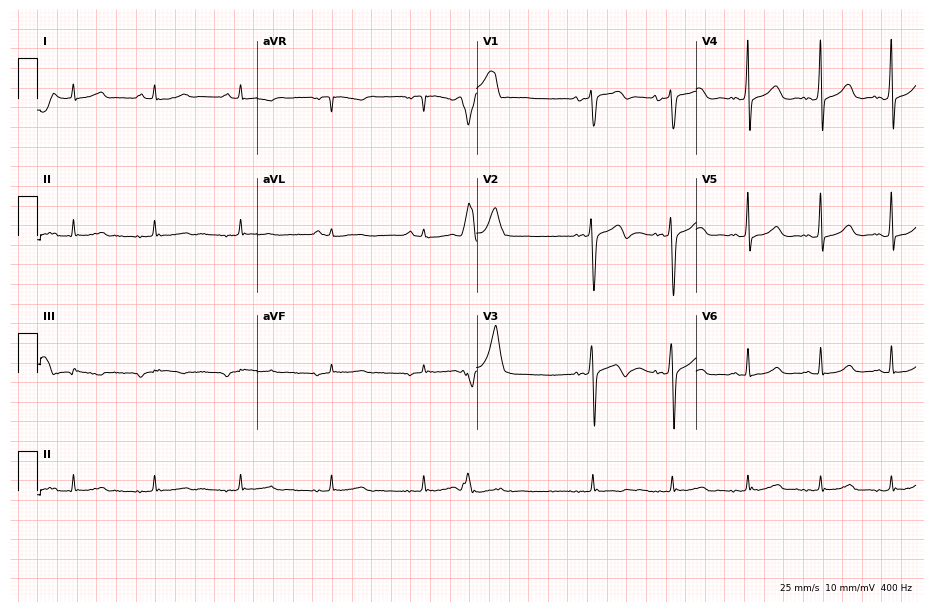
ECG (9-second recording at 400 Hz) — a 49-year-old male. Screened for six findings — first-degree AV block, right bundle branch block, left bundle branch block, sinus bradycardia, atrial fibrillation, sinus tachycardia — none is recorded.